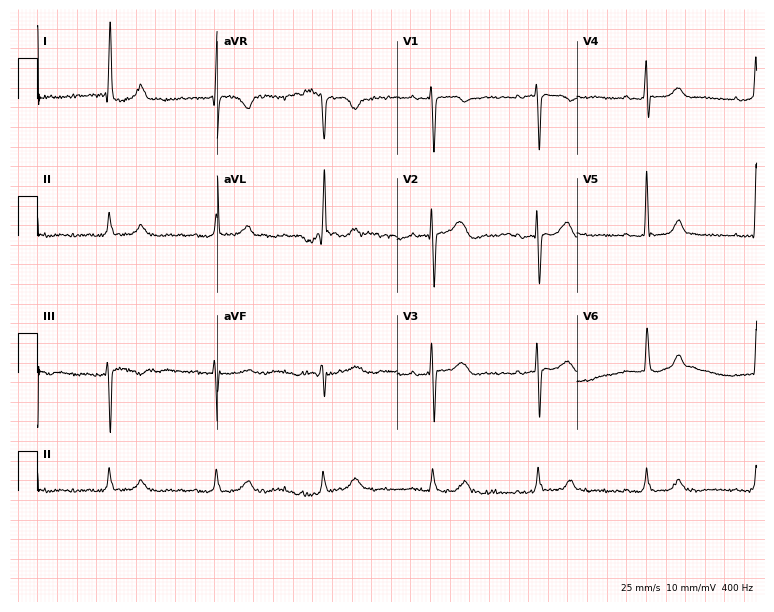
12-lead ECG (7.3-second recording at 400 Hz) from a 74-year-old female patient. Screened for six findings — first-degree AV block, right bundle branch block (RBBB), left bundle branch block (LBBB), sinus bradycardia, atrial fibrillation (AF), sinus tachycardia — none is recorded. Only these six findings were labelled.